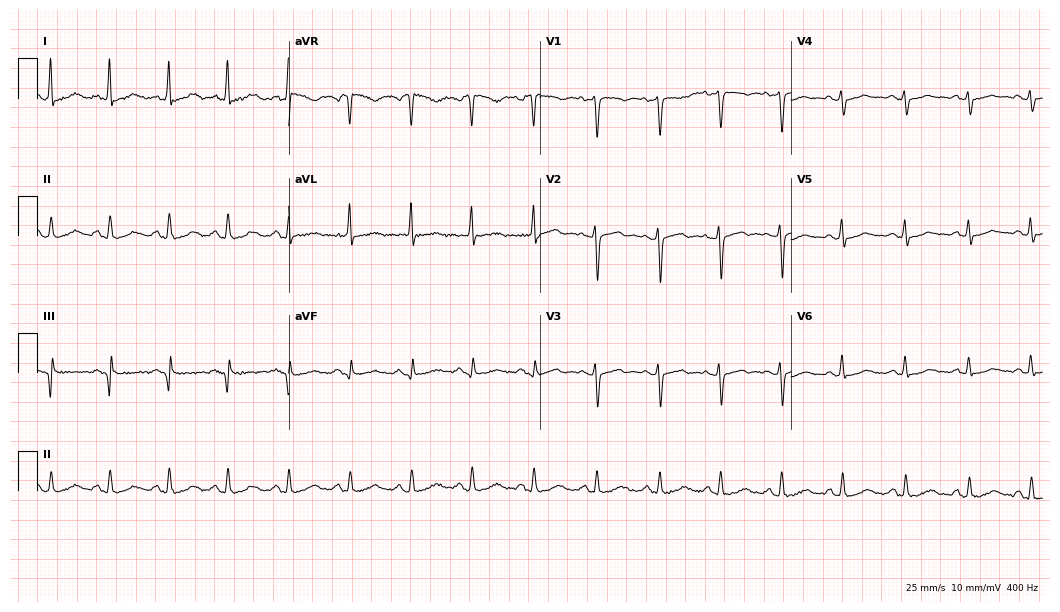
12-lead ECG from a female, 53 years old. No first-degree AV block, right bundle branch block, left bundle branch block, sinus bradycardia, atrial fibrillation or sinus tachycardia recorded for this tracing.